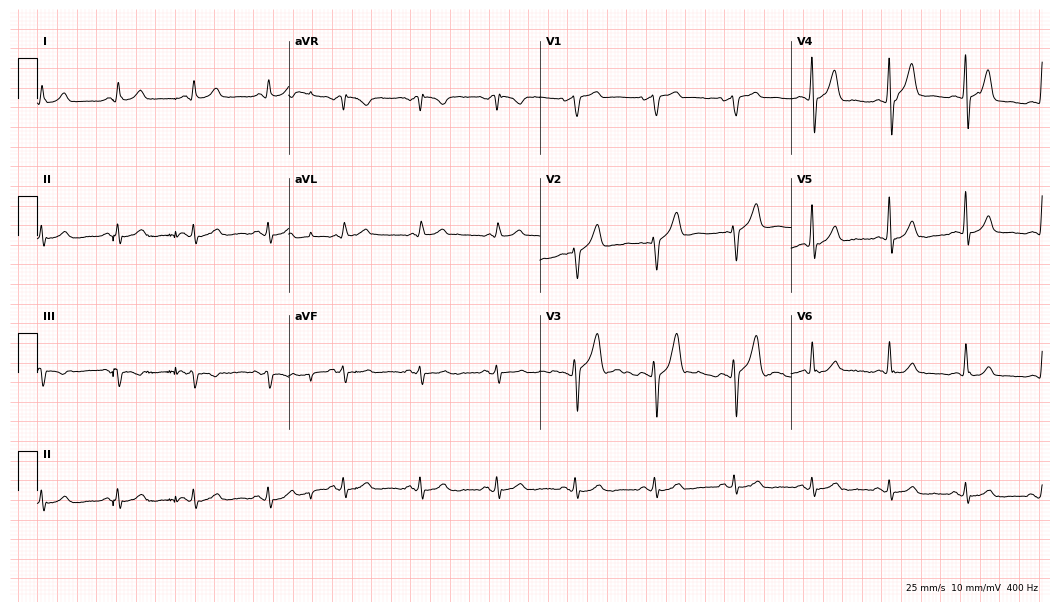
Standard 12-lead ECG recorded from a man, 49 years old. Read as a normal ECG.